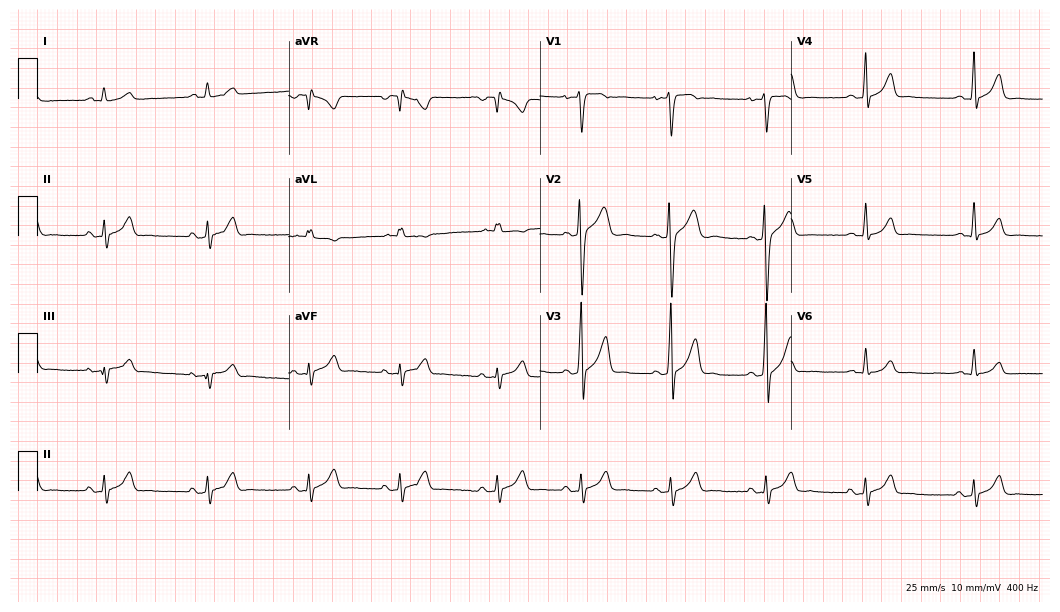
12-lead ECG from a man, 20 years old. Labelled as a normal ECG.